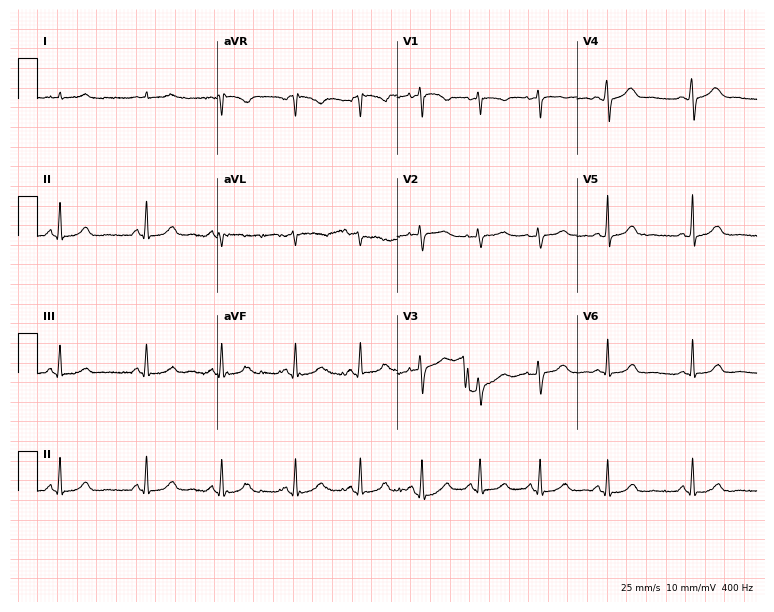
Standard 12-lead ECG recorded from a female patient, 35 years old (7.3-second recording at 400 Hz). Read as a normal ECG.